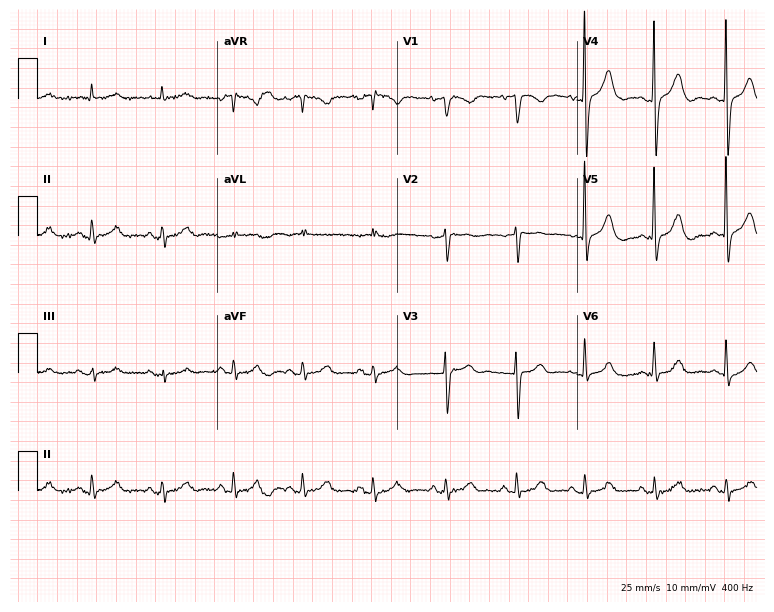
Resting 12-lead electrocardiogram (7.3-second recording at 400 Hz). Patient: an 80-year-old woman. None of these six findings is recorded: first-degree AV block, right bundle branch block (RBBB), left bundle branch block (LBBB), sinus bradycardia, atrial fibrillation (AF), sinus tachycardia.